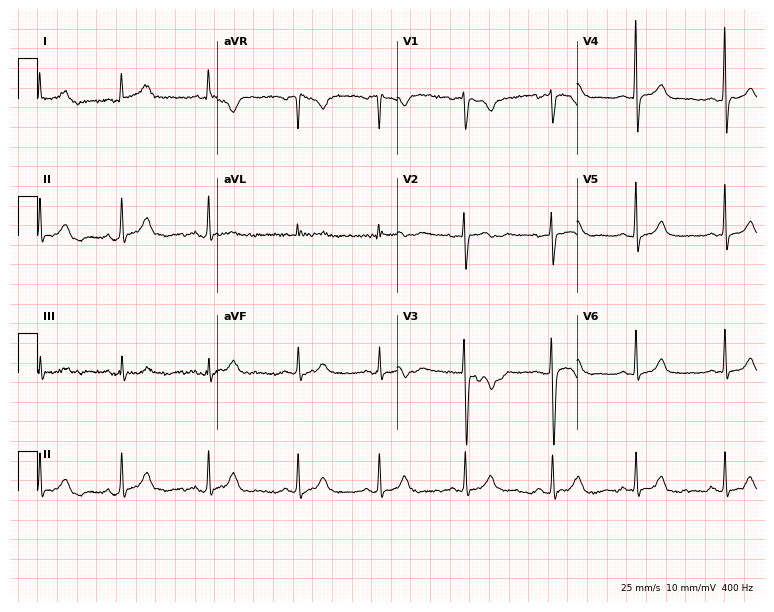
ECG — a female patient, 26 years old. Screened for six findings — first-degree AV block, right bundle branch block, left bundle branch block, sinus bradycardia, atrial fibrillation, sinus tachycardia — none is recorded.